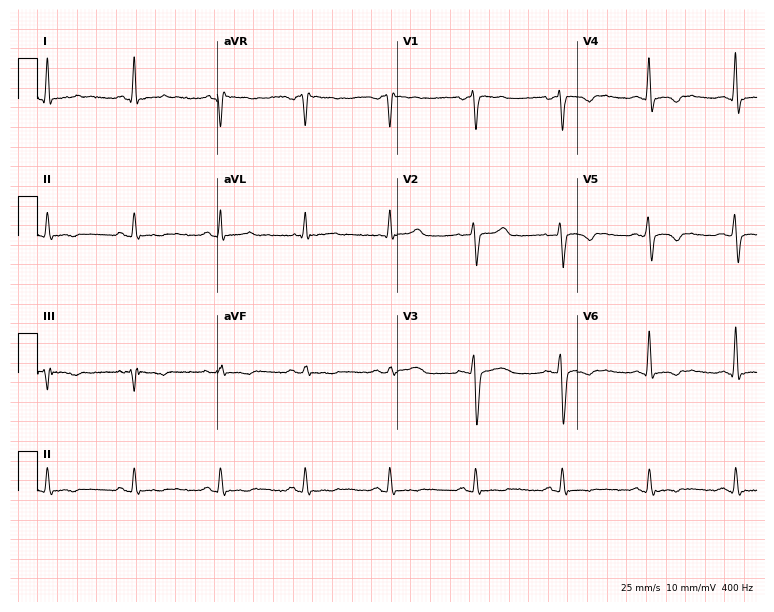
ECG — a male, 36 years old. Screened for six findings — first-degree AV block, right bundle branch block (RBBB), left bundle branch block (LBBB), sinus bradycardia, atrial fibrillation (AF), sinus tachycardia — none is recorded. Findings outside these six are not listed.